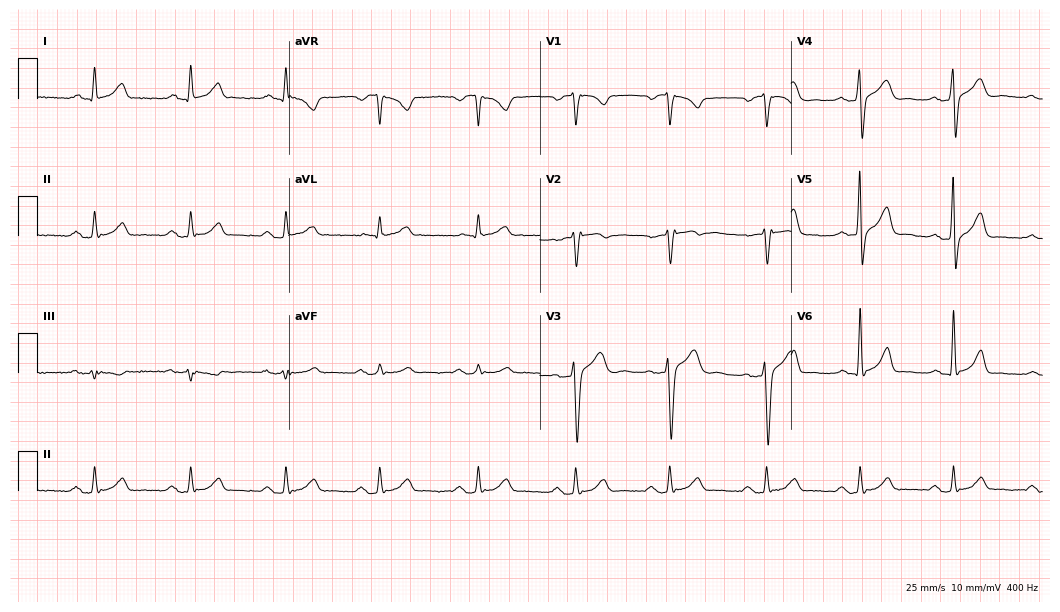
12-lead ECG from a 37-year-old male patient. Shows first-degree AV block.